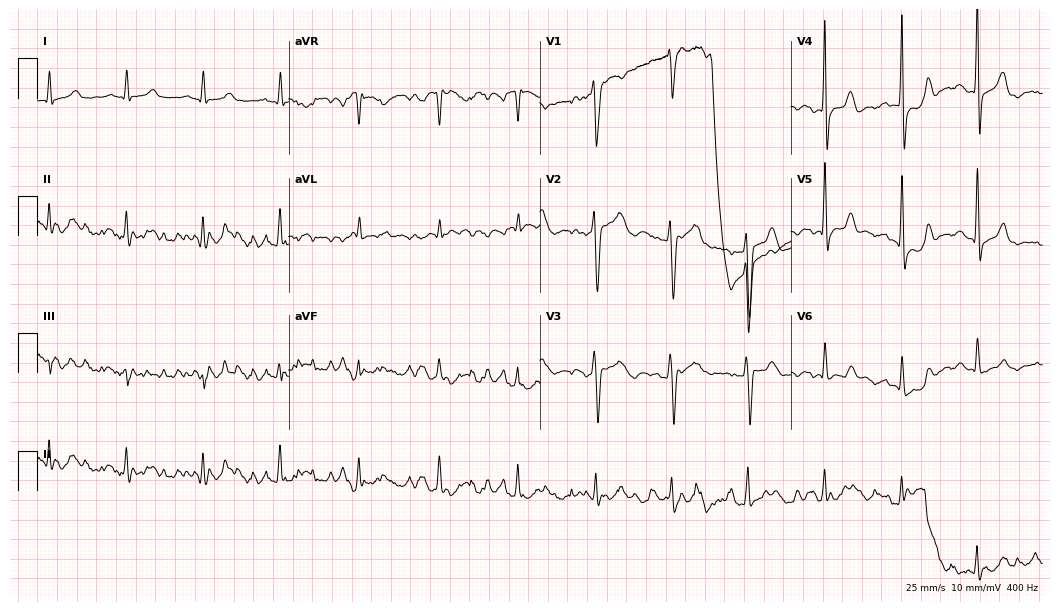
Standard 12-lead ECG recorded from a male, 44 years old. None of these six findings is recorded: first-degree AV block, right bundle branch block (RBBB), left bundle branch block (LBBB), sinus bradycardia, atrial fibrillation (AF), sinus tachycardia. Findings outside these six are not listed.